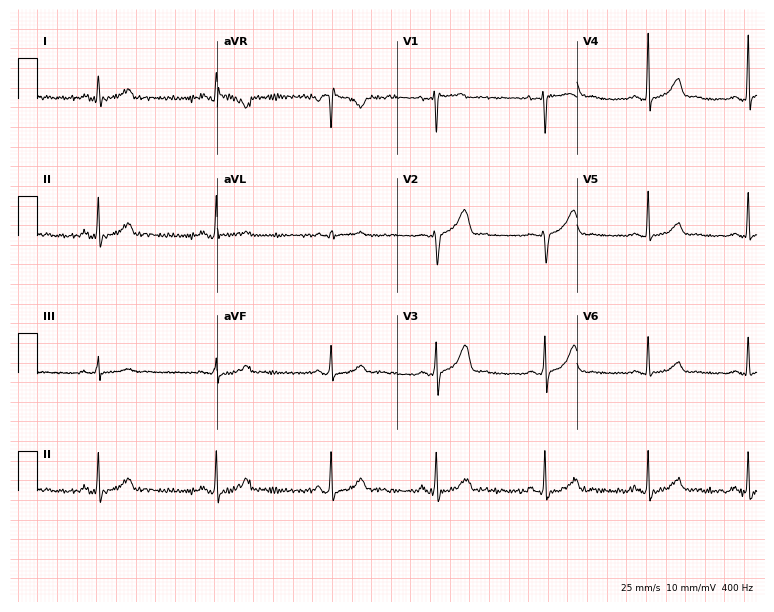
12-lead ECG from a female patient, 32 years old (7.3-second recording at 400 Hz). Recorded interpretation: within normal limits.